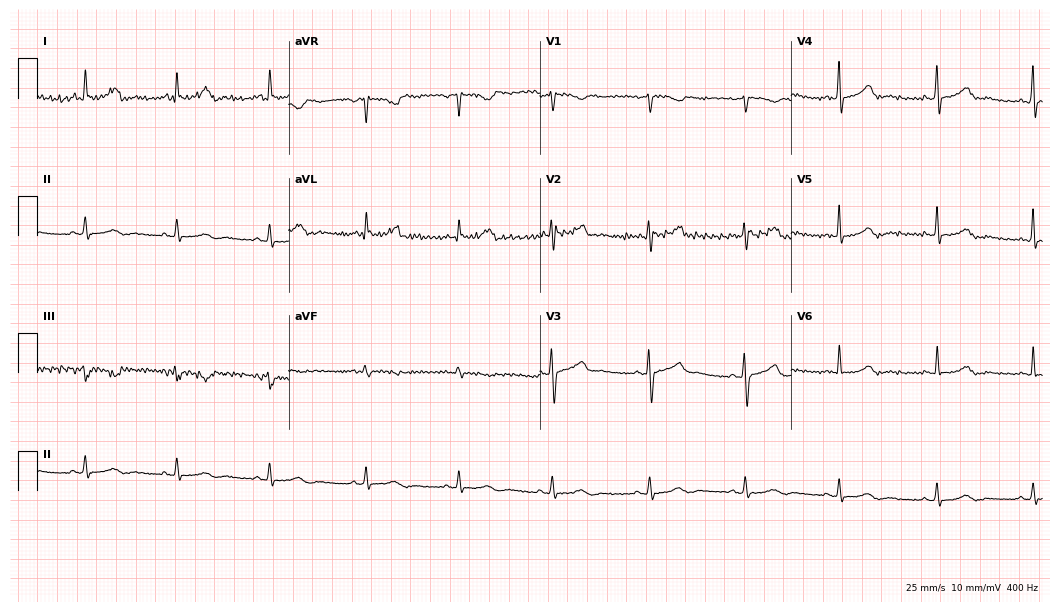
12-lead ECG from a woman, 50 years old. Labelled as a normal ECG.